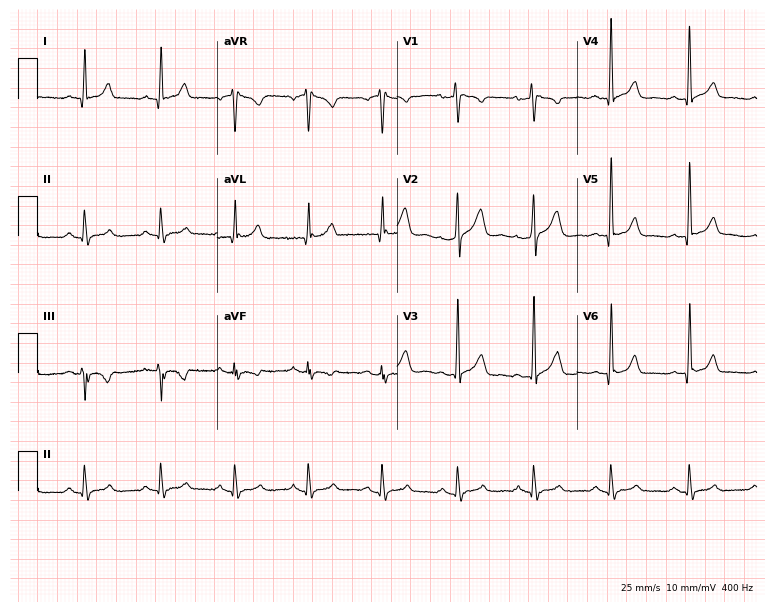
Standard 12-lead ECG recorded from a male patient, 42 years old. None of these six findings is recorded: first-degree AV block, right bundle branch block, left bundle branch block, sinus bradycardia, atrial fibrillation, sinus tachycardia. Other findings, if any, are not listed.